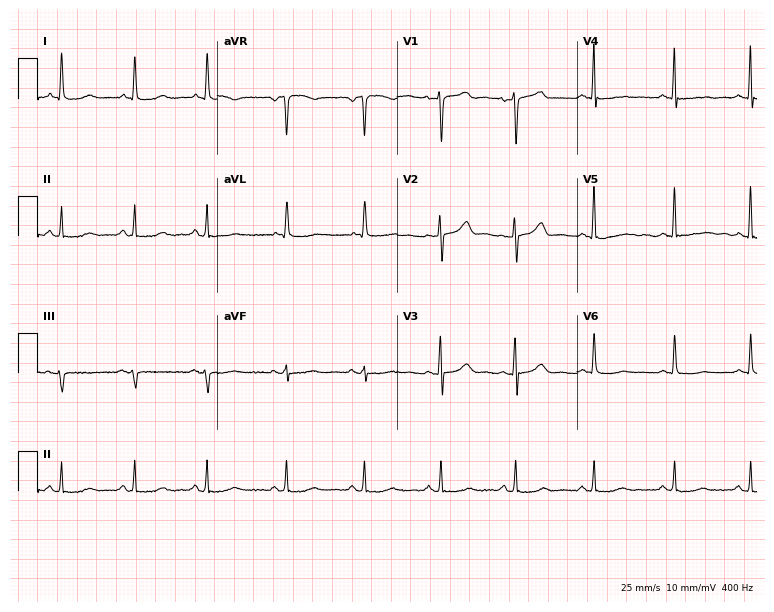
12-lead ECG from a female, 51 years old. Screened for six findings — first-degree AV block, right bundle branch block, left bundle branch block, sinus bradycardia, atrial fibrillation, sinus tachycardia — none is recorded. Findings outside these six are not listed.